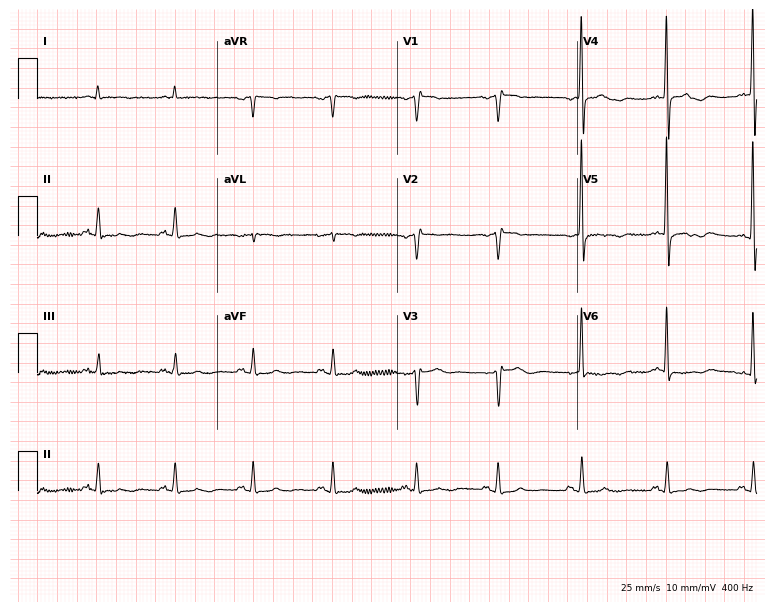
Electrocardiogram (7.3-second recording at 400 Hz), a man, 58 years old. Of the six screened findings (first-degree AV block, right bundle branch block, left bundle branch block, sinus bradycardia, atrial fibrillation, sinus tachycardia), none is recorded.